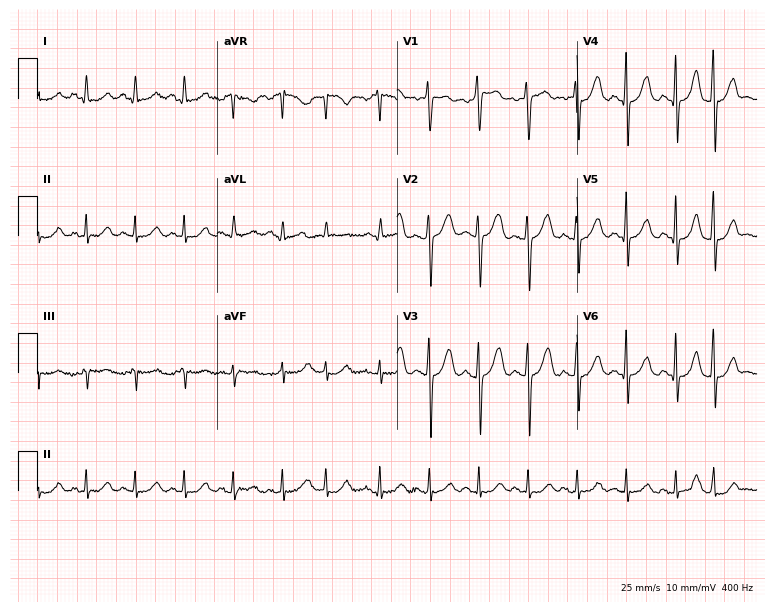
12-lead ECG from a 67-year-old female. Shows sinus tachycardia (a sinus rate of 100 beats per minute or more).